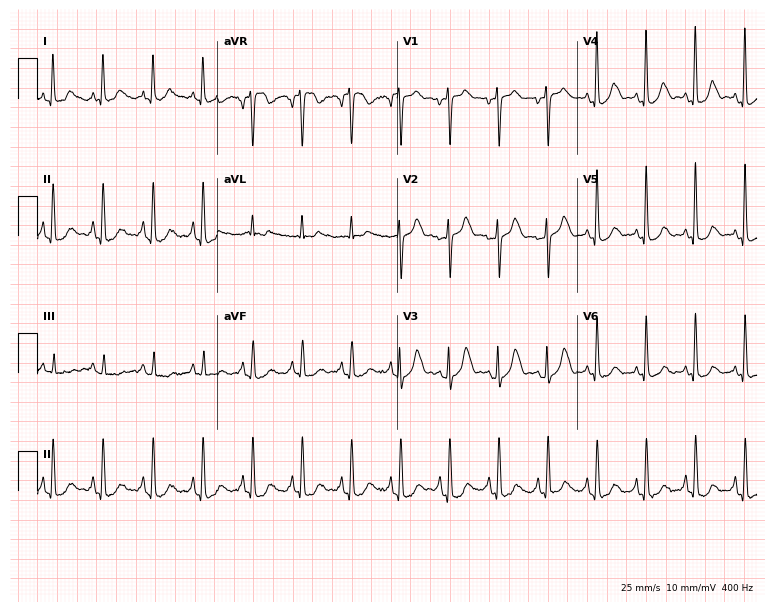
12-lead ECG from a 64-year-old female. Shows sinus tachycardia (a sinus rate of 100 beats per minute or more).